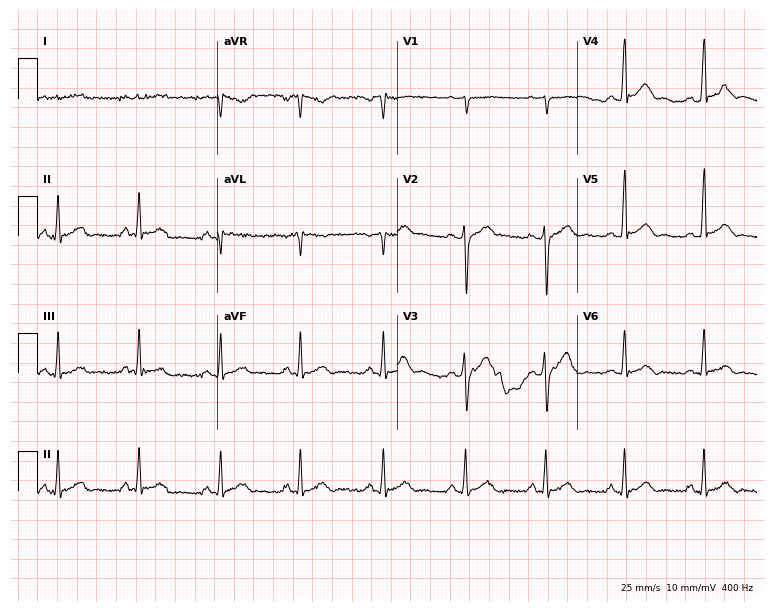
Standard 12-lead ECG recorded from a 36-year-old male patient. None of these six findings is recorded: first-degree AV block, right bundle branch block (RBBB), left bundle branch block (LBBB), sinus bradycardia, atrial fibrillation (AF), sinus tachycardia. Findings outside these six are not listed.